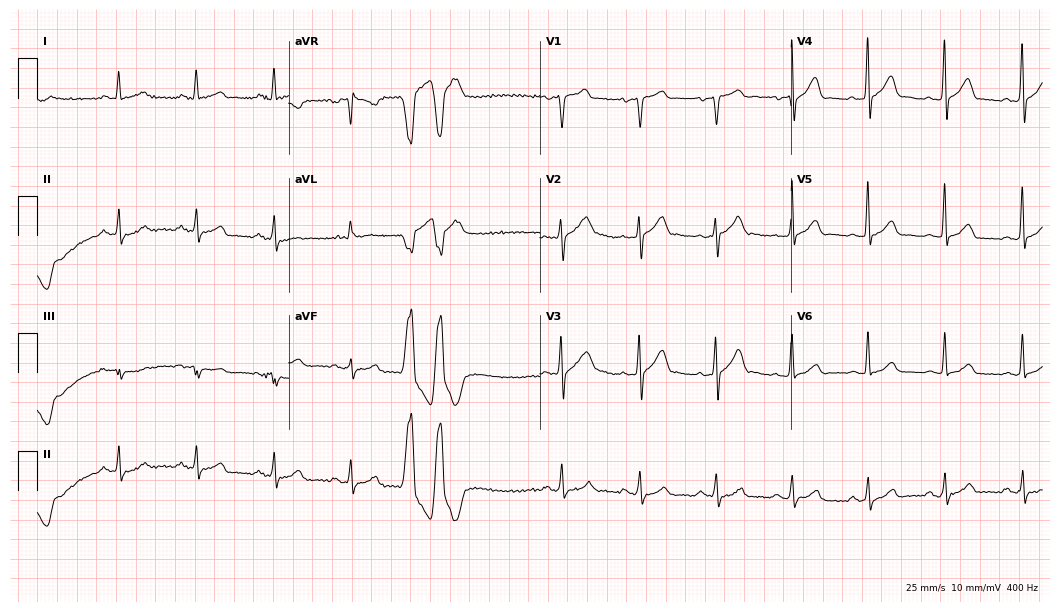
12-lead ECG (10.2-second recording at 400 Hz) from a 67-year-old male. Screened for six findings — first-degree AV block, right bundle branch block, left bundle branch block, sinus bradycardia, atrial fibrillation, sinus tachycardia — none is recorded. Only these six findings were labelled.